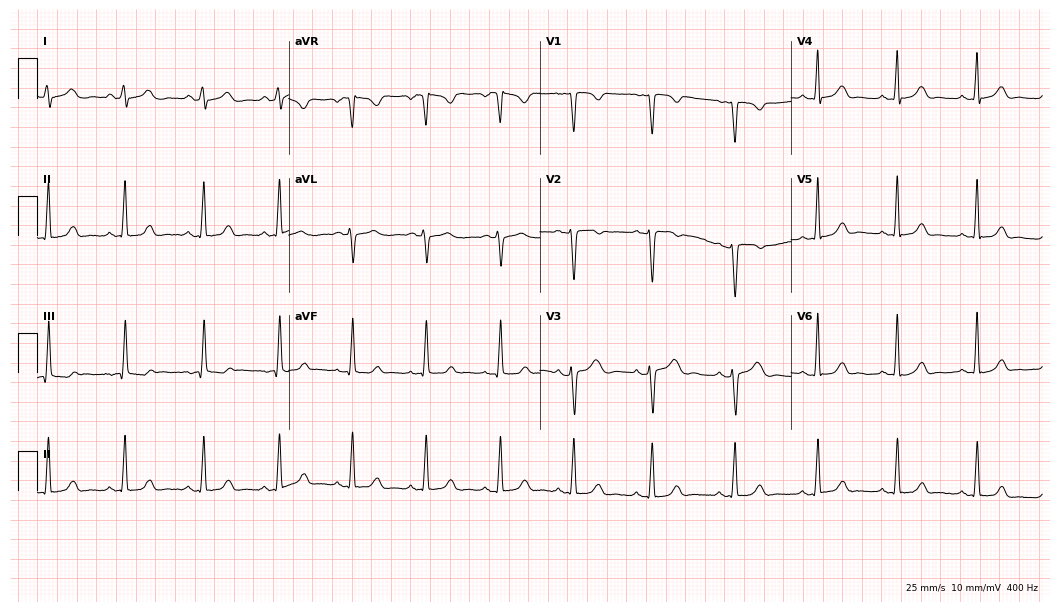
12-lead ECG from a 35-year-old woman. Labelled as a normal ECG.